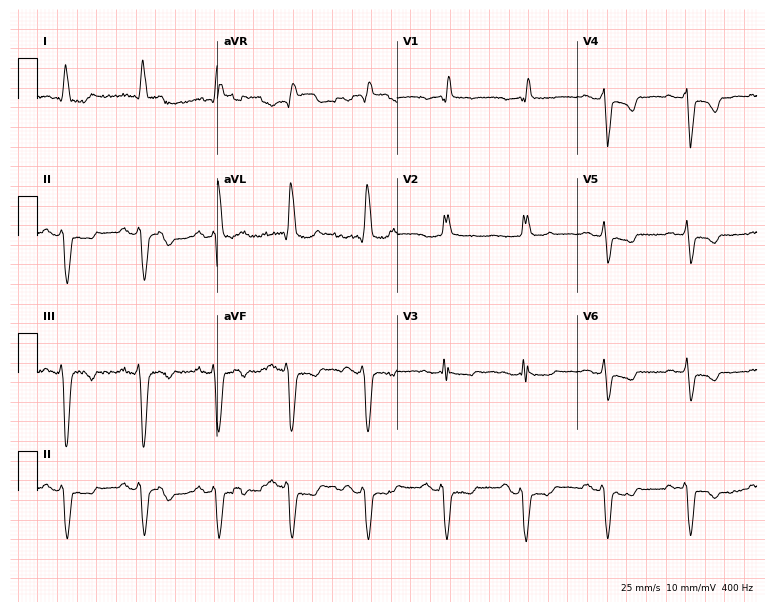
12-lead ECG from a 78-year-old female patient. Shows right bundle branch block (RBBB).